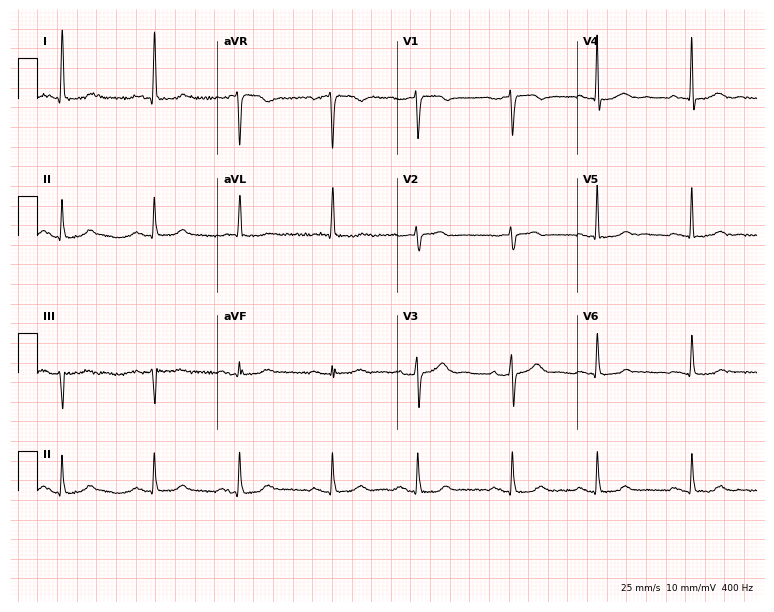
12-lead ECG (7.3-second recording at 400 Hz) from a female patient, 74 years old. Labelled as a normal ECG.